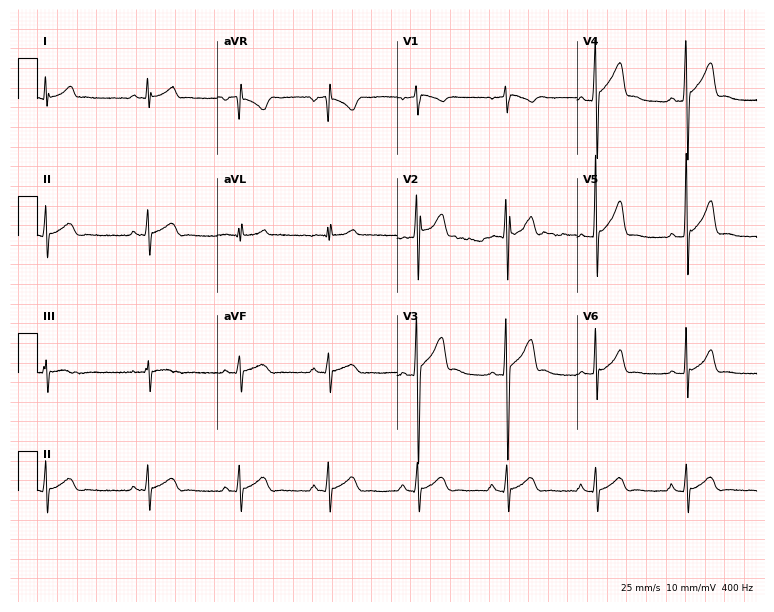
ECG (7.3-second recording at 400 Hz) — a 25-year-old male. Labelled as a normal ECG.